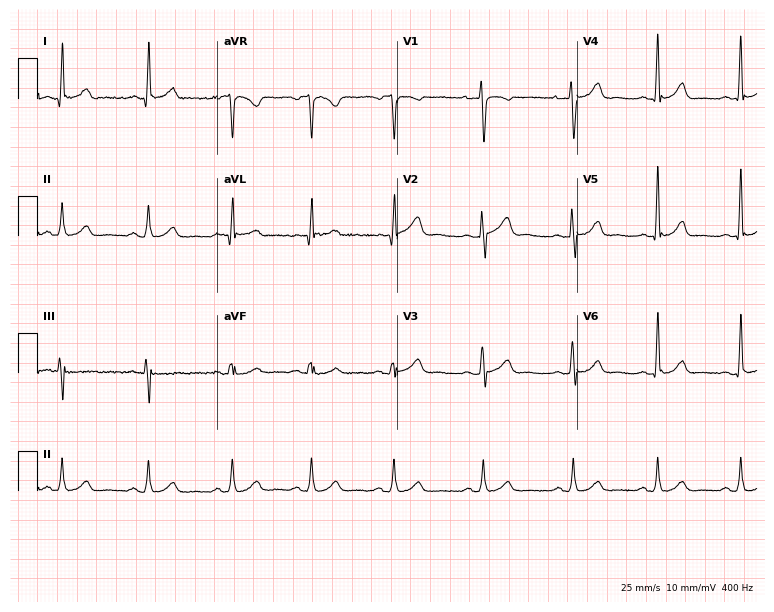
ECG — a female patient, 46 years old. Labelled as a normal ECG.